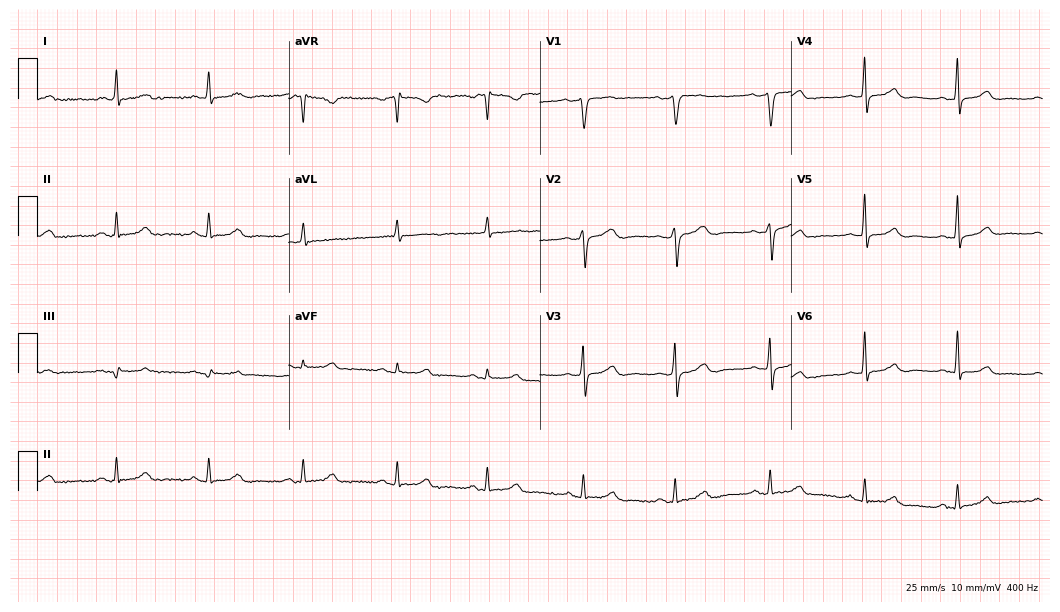
Electrocardiogram (10.2-second recording at 400 Hz), a female, 51 years old. Overall reading on record: normal ECG.